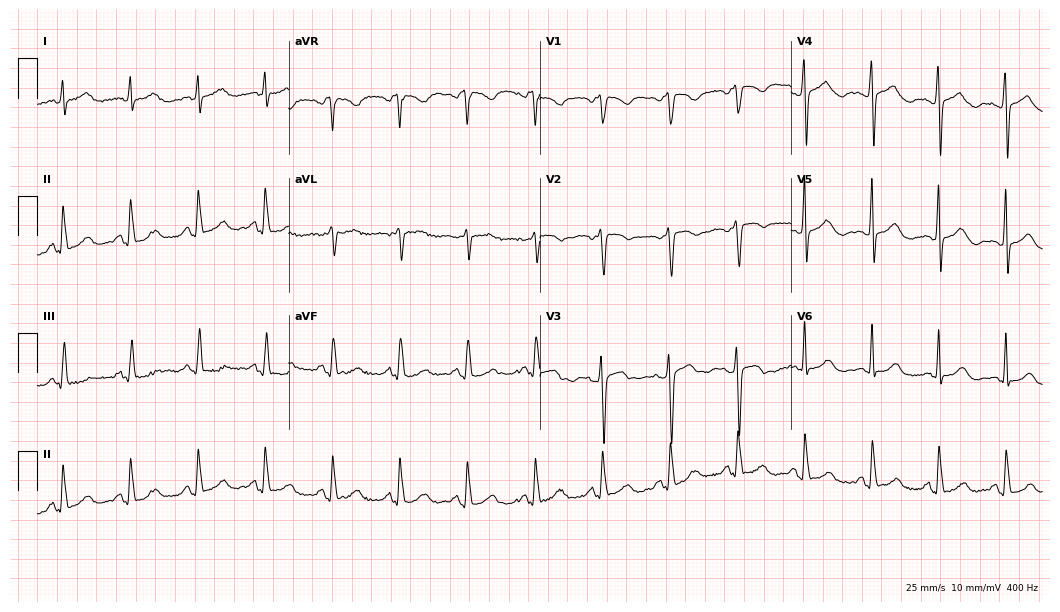
Standard 12-lead ECG recorded from a 54-year-old woman (10.2-second recording at 400 Hz). None of these six findings is recorded: first-degree AV block, right bundle branch block, left bundle branch block, sinus bradycardia, atrial fibrillation, sinus tachycardia. Only these six findings were labelled.